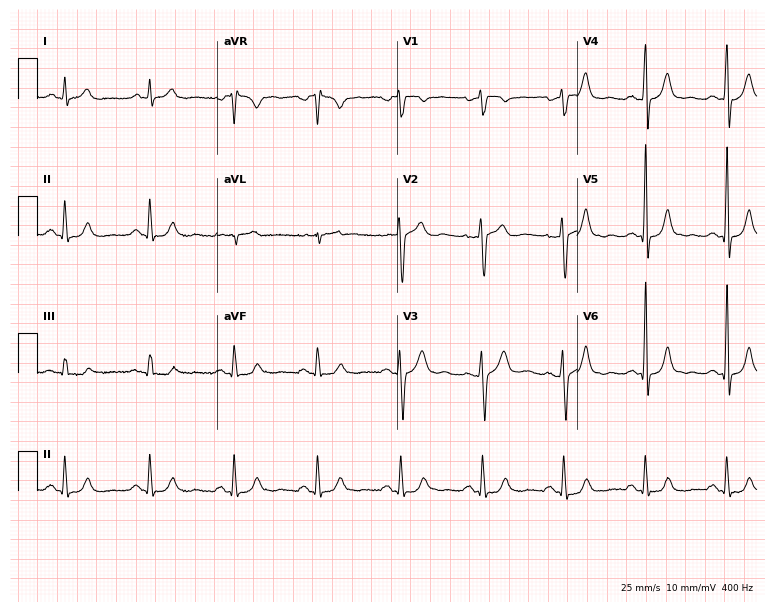
12-lead ECG (7.3-second recording at 400 Hz) from a male, 60 years old. Screened for six findings — first-degree AV block, right bundle branch block, left bundle branch block, sinus bradycardia, atrial fibrillation, sinus tachycardia — none is recorded.